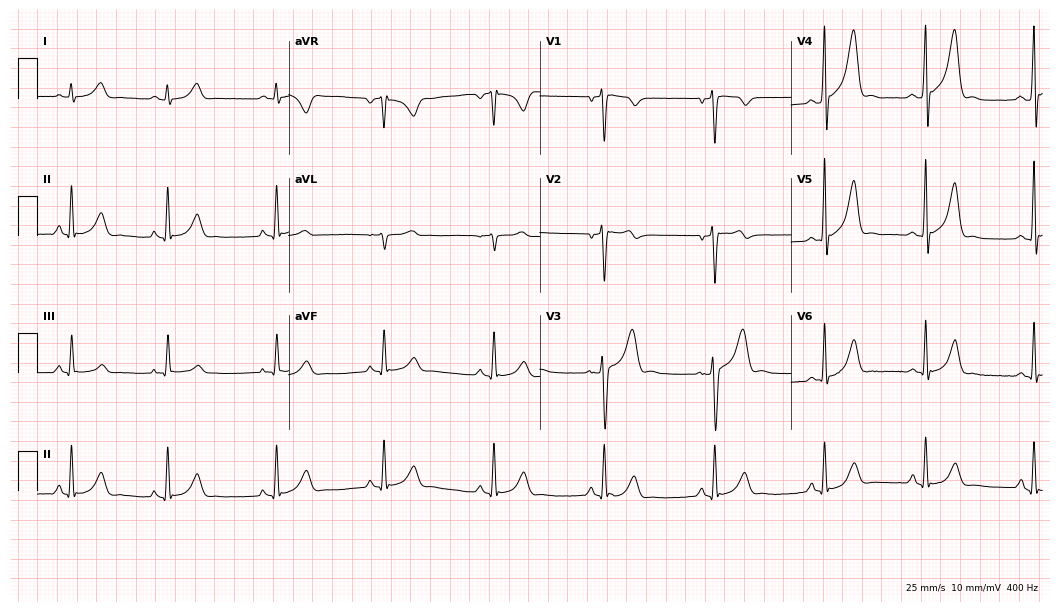
ECG (10.2-second recording at 400 Hz) — a male, 23 years old. Labelled as a normal ECG.